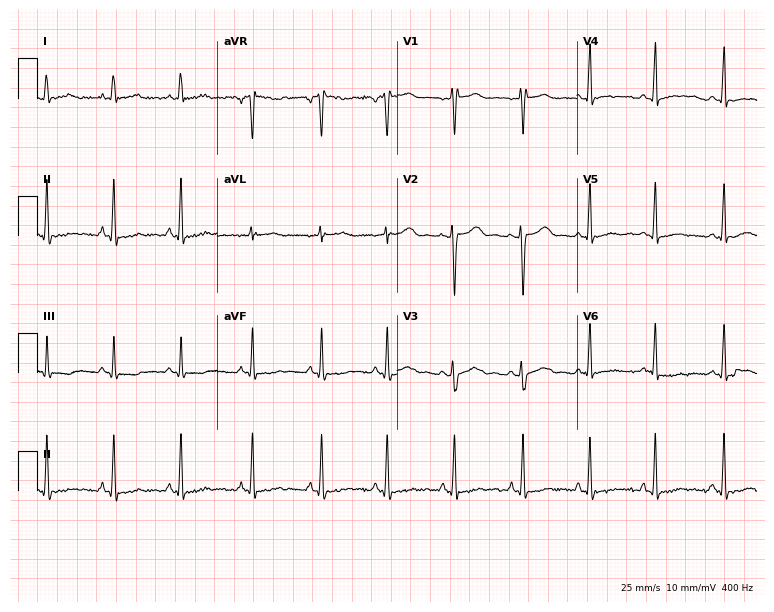
Resting 12-lead electrocardiogram (7.3-second recording at 400 Hz). Patient: a female, 20 years old. None of these six findings is recorded: first-degree AV block, right bundle branch block, left bundle branch block, sinus bradycardia, atrial fibrillation, sinus tachycardia.